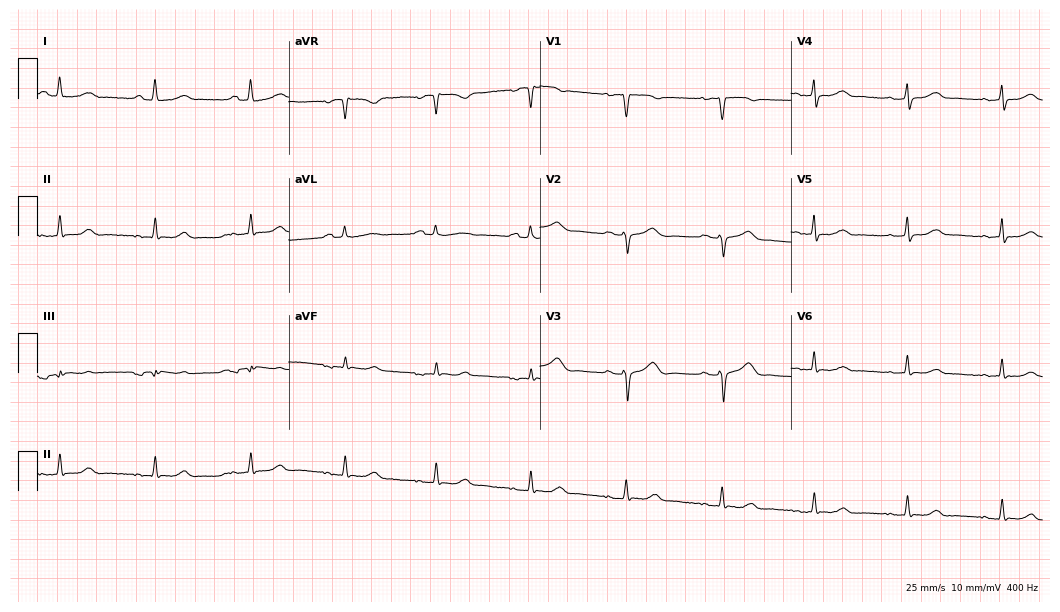
Resting 12-lead electrocardiogram. Patient: a 58-year-old female. None of these six findings is recorded: first-degree AV block, right bundle branch block, left bundle branch block, sinus bradycardia, atrial fibrillation, sinus tachycardia.